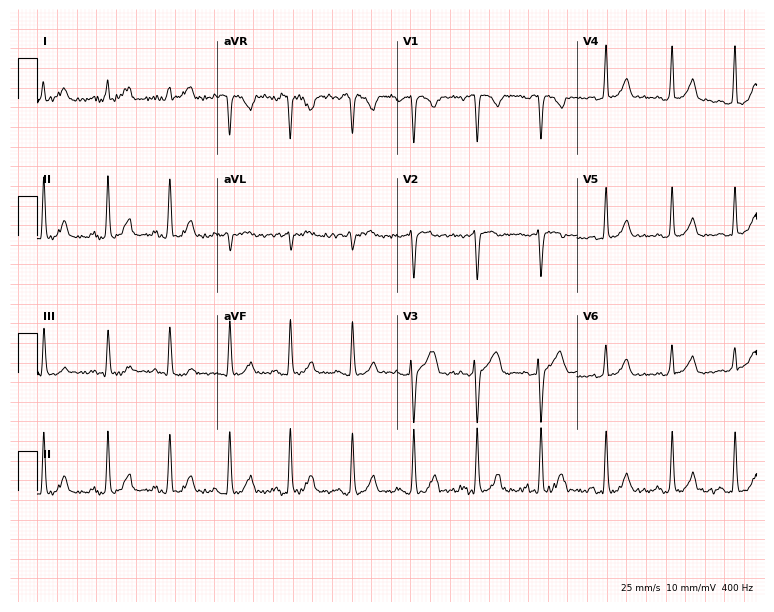
Resting 12-lead electrocardiogram. Patient: a woman, 25 years old. None of these six findings is recorded: first-degree AV block, right bundle branch block, left bundle branch block, sinus bradycardia, atrial fibrillation, sinus tachycardia.